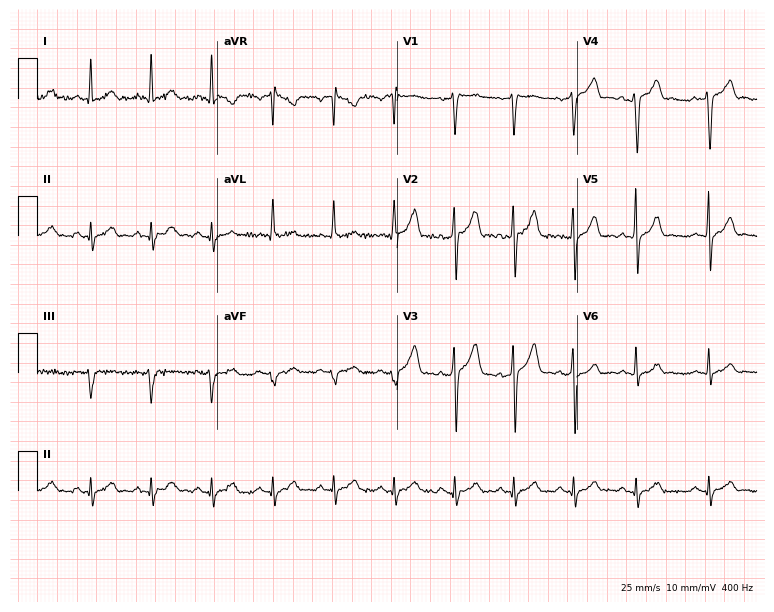
Resting 12-lead electrocardiogram. Patient: a male, 42 years old. Read as a normal ECG.